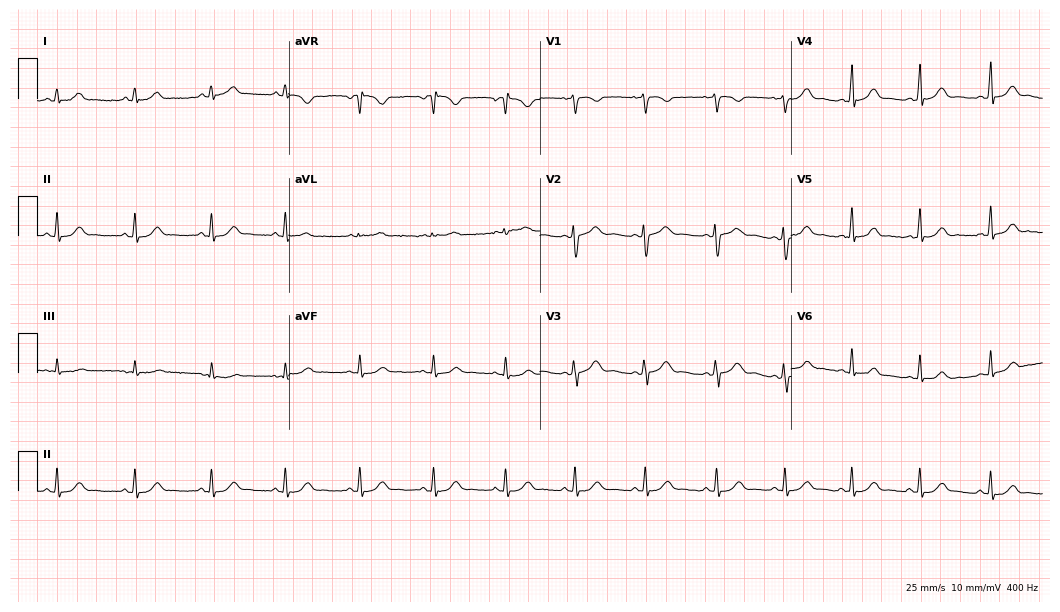
12-lead ECG from a 22-year-old female. Screened for six findings — first-degree AV block, right bundle branch block (RBBB), left bundle branch block (LBBB), sinus bradycardia, atrial fibrillation (AF), sinus tachycardia — none is recorded.